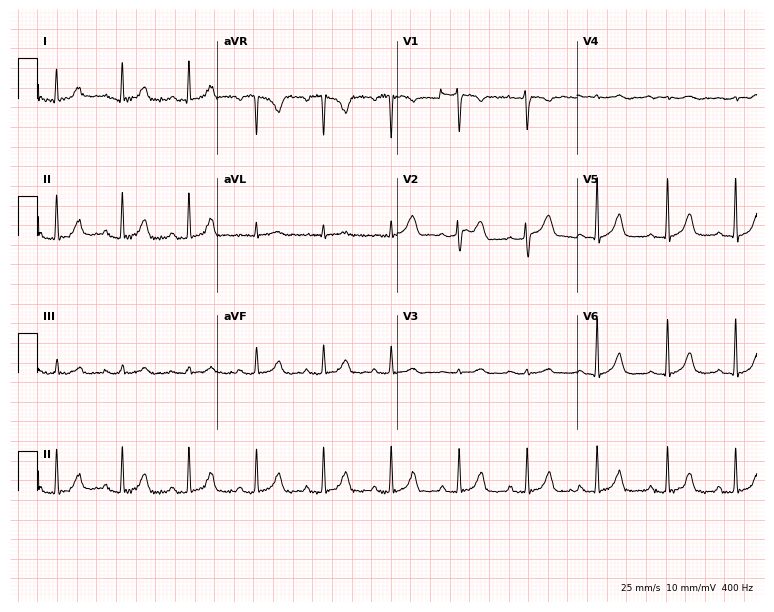
ECG — a female, 36 years old. Labelled as a normal ECG.